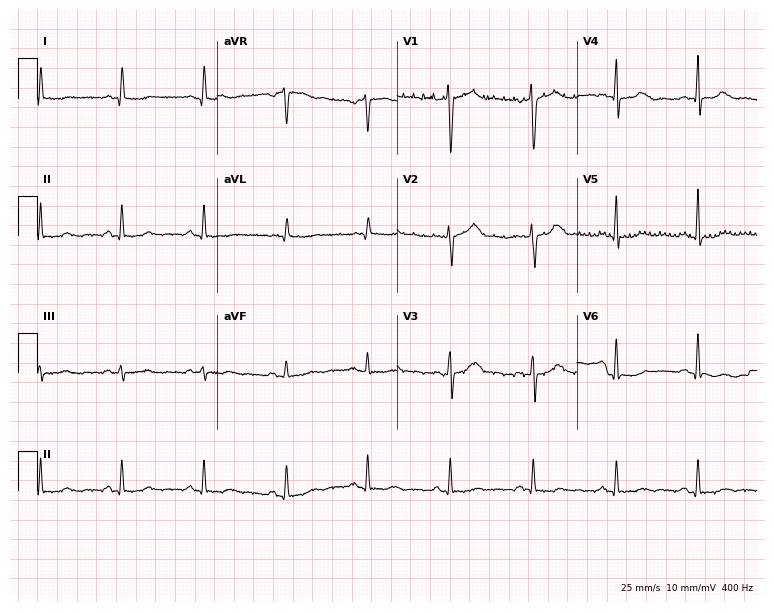
Resting 12-lead electrocardiogram (7.3-second recording at 400 Hz). Patient: a 54-year-old female. None of these six findings is recorded: first-degree AV block, right bundle branch block, left bundle branch block, sinus bradycardia, atrial fibrillation, sinus tachycardia.